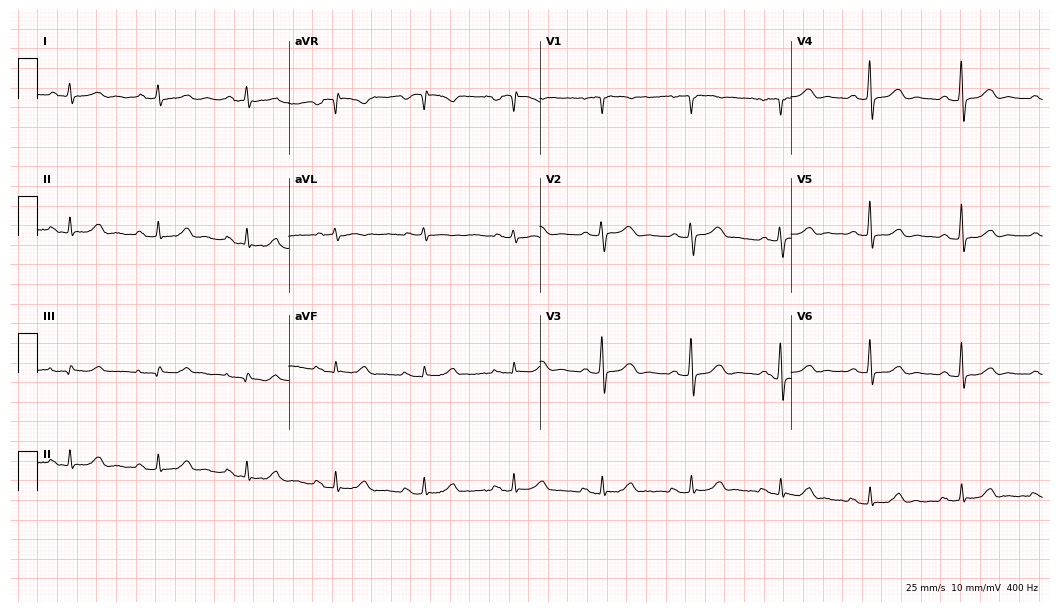
Resting 12-lead electrocardiogram. Patient: a 75-year-old male. None of these six findings is recorded: first-degree AV block, right bundle branch block, left bundle branch block, sinus bradycardia, atrial fibrillation, sinus tachycardia.